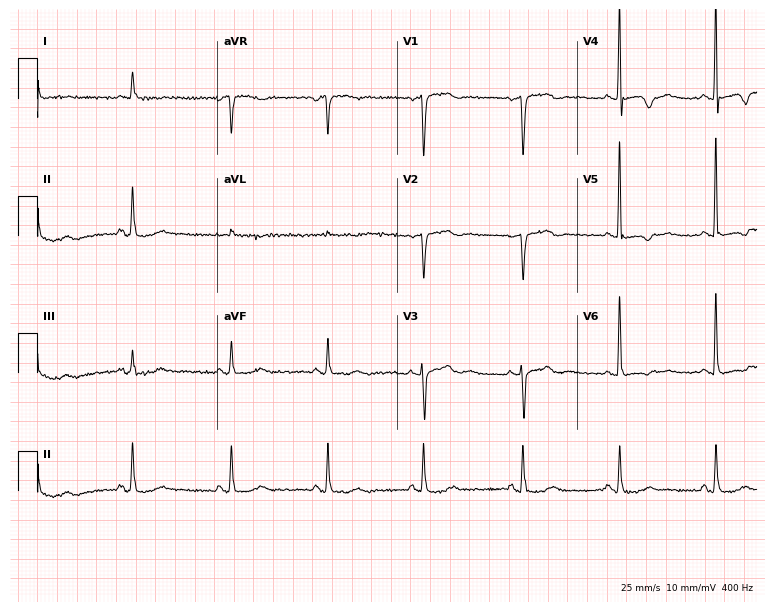
12-lead ECG from an 84-year-old female patient (7.3-second recording at 400 Hz). No first-degree AV block, right bundle branch block (RBBB), left bundle branch block (LBBB), sinus bradycardia, atrial fibrillation (AF) or sinus tachycardia recorded for this tracing. Only these six findings were labelled.